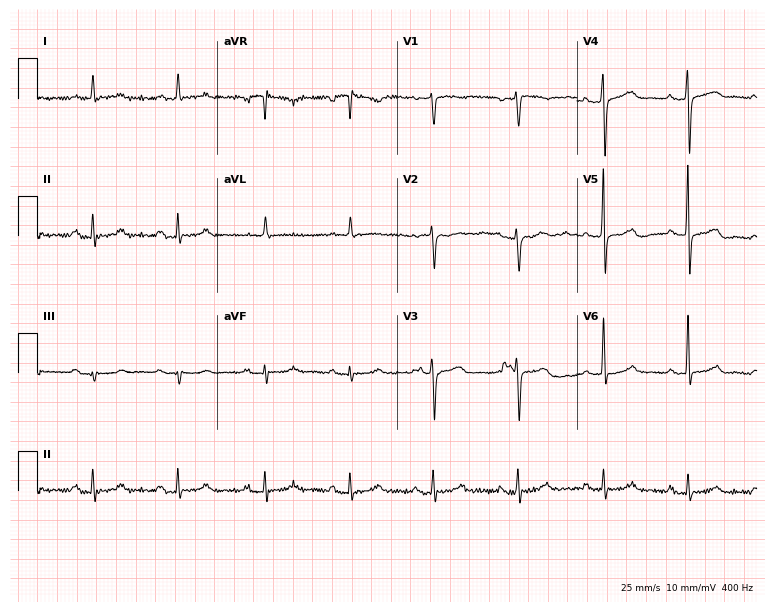
Standard 12-lead ECG recorded from a 67-year-old female (7.3-second recording at 400 Hz). None of these six findings is recorded: first-degree AV block, right bundle branch block (RBBB), left bundle branch block (LBBB), sinus bradycardia, atrial fibrillation (AF), sinus tachycardia.